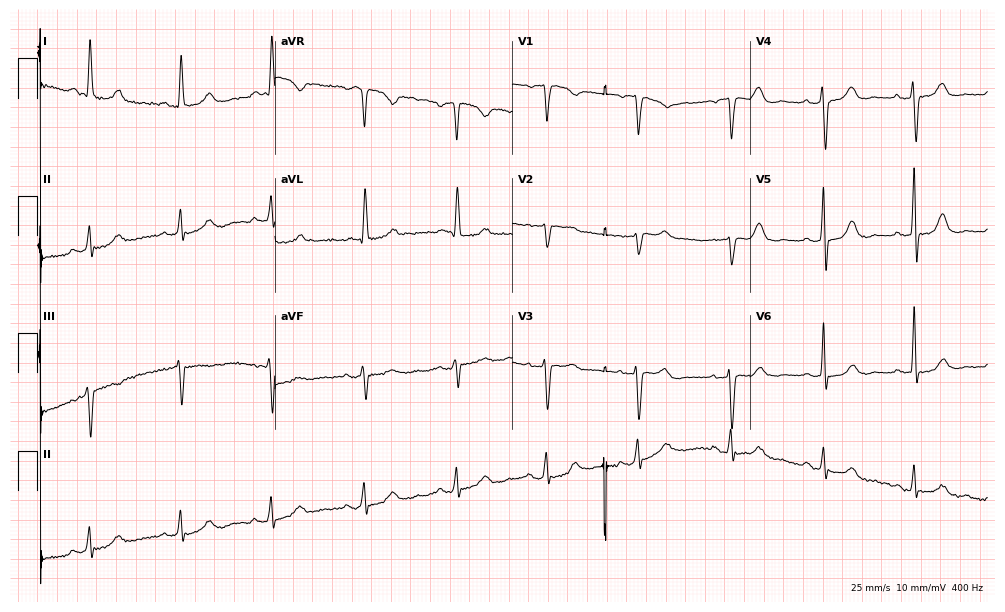
12-lead ECG from a 61-year-old female. Screened for six findings — first-degree AV block, right bundle branch block, left bundle branch block, sinus bradycardia, atrial fibrillation, sinus tachycardia — none is recorded. Other findings, if any, are not listed.